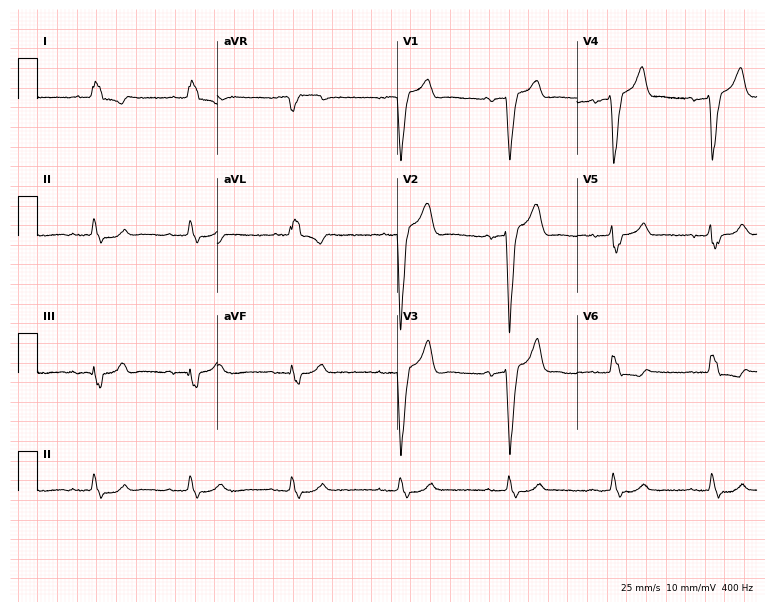
Electrocardiogram, a 78-year-old male patient. Interpretation includes left bundle branch block (LBBB).